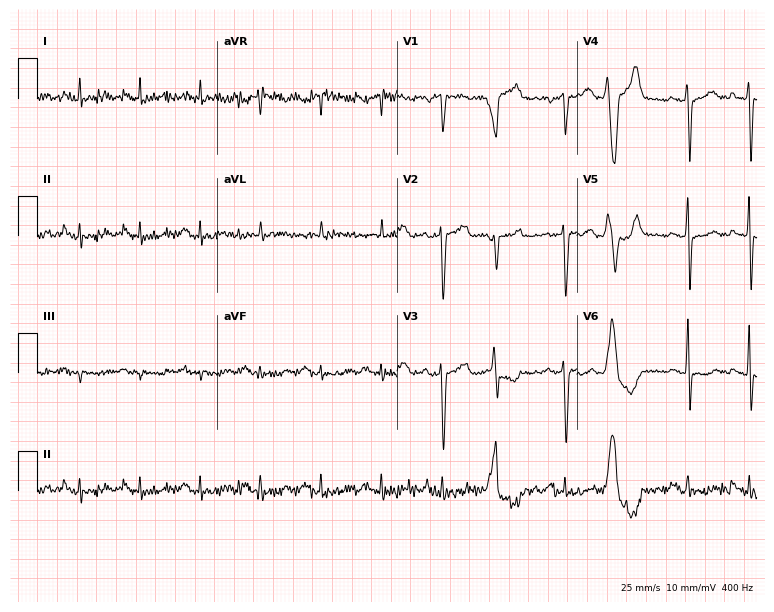
Electrocardiogram, a 74-year-old male. Of the six screened findings (first-degree AV block, right bundle branch block, left bundle branch block, sinus bradycardia, atrial fibrillation, sinus tachycardia), none is recorded.